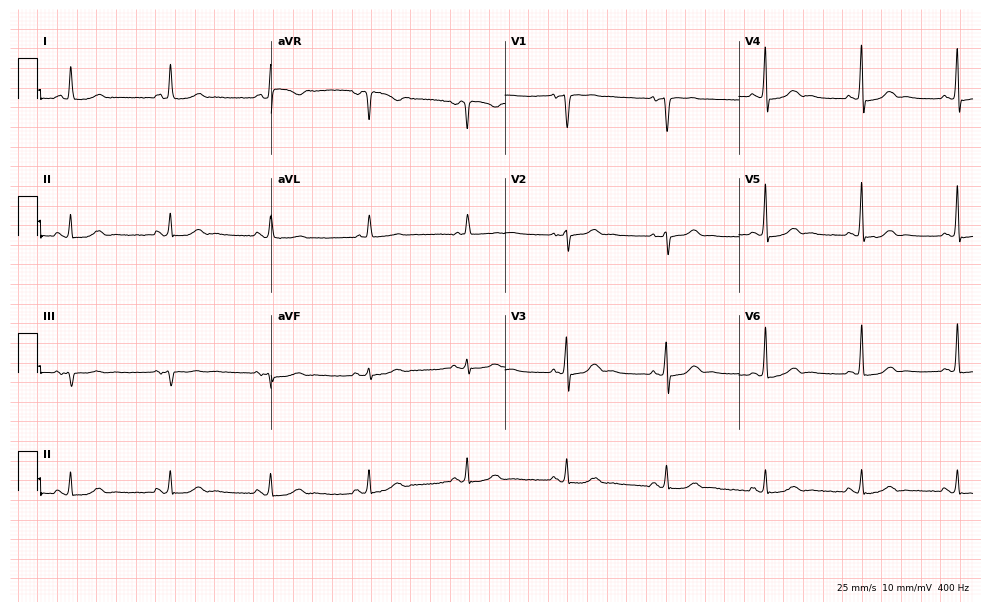
Resting 12-lead electrocardiogram (9.5-second recording at 400 Hz). Patient: a 57-year-old female. Read as a normal ECG.